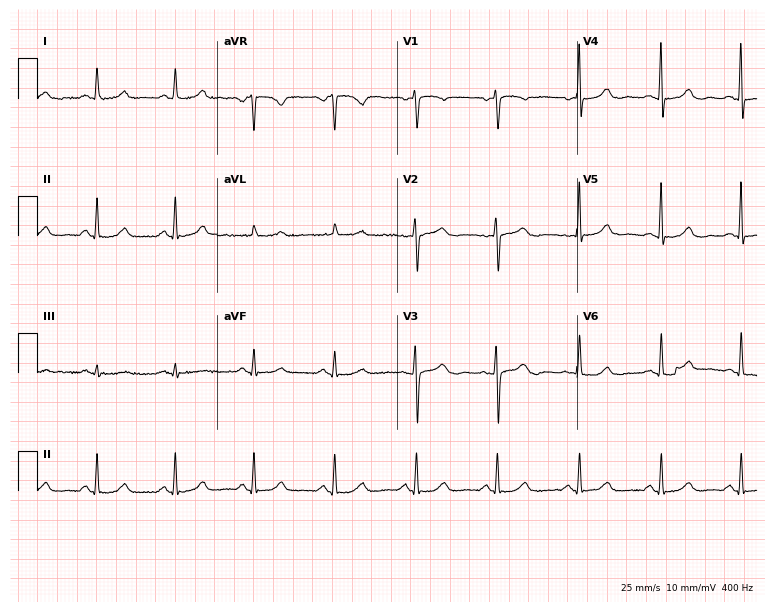
Electrocardiogram, a female, 70 years old. Overall reading on record: normal ECG.